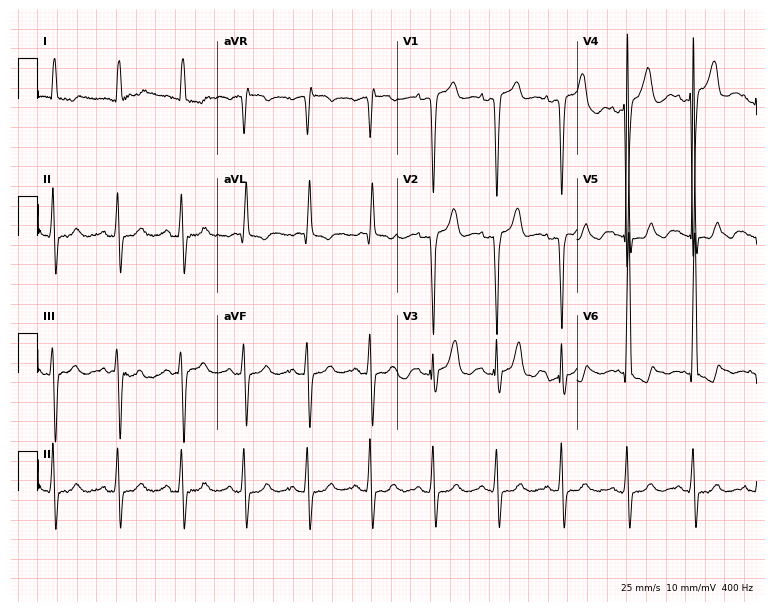
Electrocardiogram (7.3-second recording at 400 Hz), a 77-year-old female patient. Of the six screened findings (first-degree AV block, right bundle branch block, left bundle branch block, sinus bradycardia, atrial fibrillation, sinus tachycardia), none is recorded.